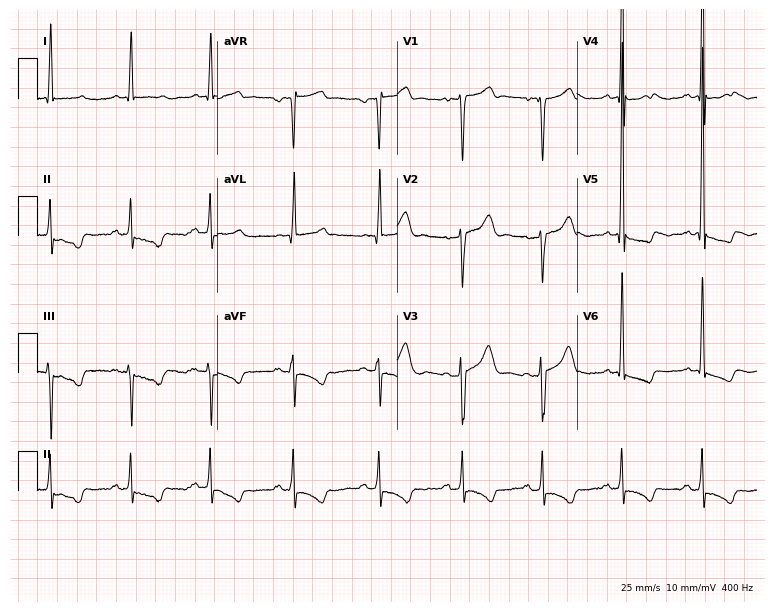
Electrocardiogram, a 50-year-old man. Of the six screened findings (first-degree AV block, right bundle branch block (RBBB), left bundle branch block (LBBB), sinus bradycardia, atrial fibrillation (AF), sinus tachycardia), none is recorded.